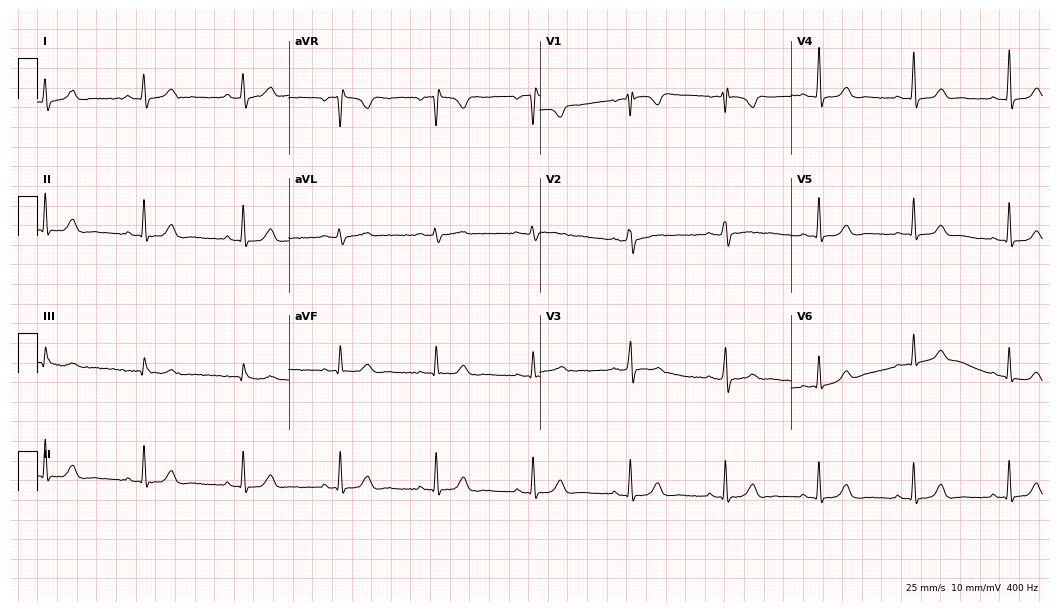
Resting 12-lead electrocardiogram (10.2-second recording at 400 Hz). Patient: a female, 52 years old. None of these six findings is recorded: first-degree AV block, right bundle branch block, left bundle branch block, sinus bradycardia, atrial fibrillation, sinus tachycardia.